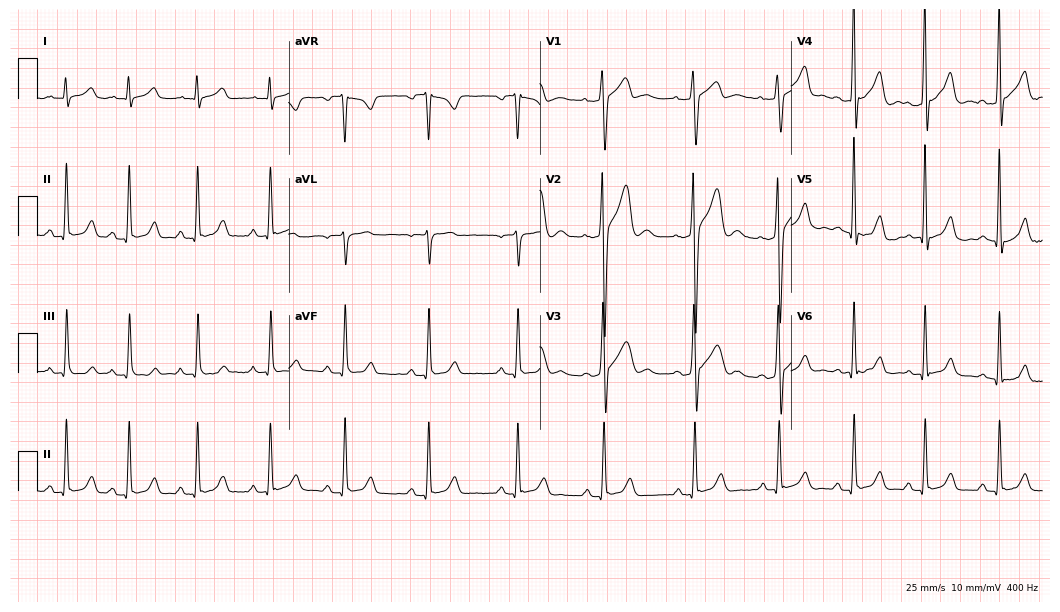
12-lead ECG from a 21-year-old male. Screened for six findings — first-degree AV block, right bundle branch block, left bundle branch block, sinus bradycardia, atrial fibrillation, sinus tachycardia — none is recorded. Other findings, if any, are not listed.